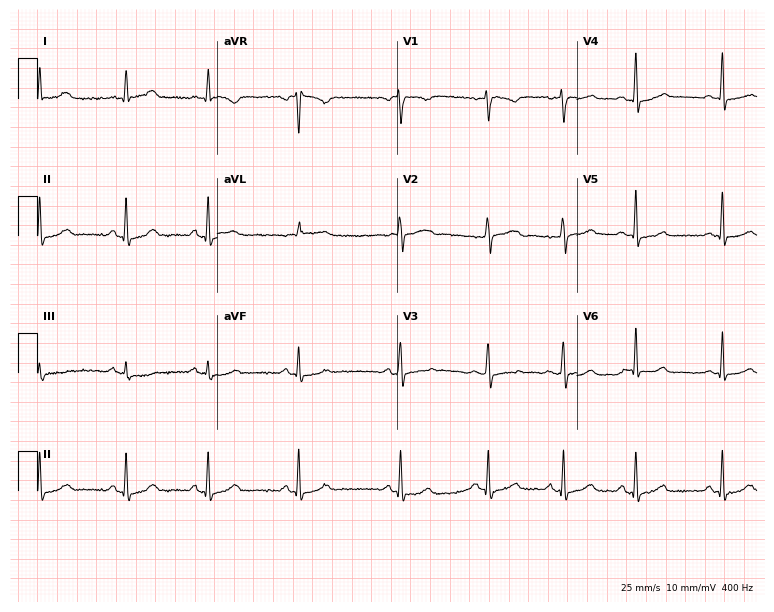
Electrocardiogram (7.3-second recording at 400 Hz), a 21-year-old female. Overall reading on record: normal ECG.